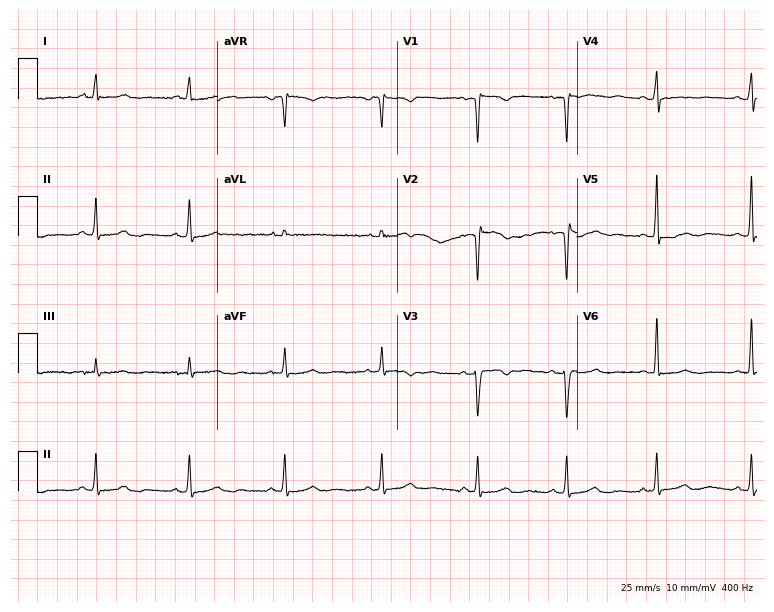
Electrocardiogram, a female, 52 years old. Of the six screened findings (first-degree AV block, right bundle branch block, left bundle branch block, sinus bradycardia, atrial fibrillation, sinus tachycardia), none is recorded. Findings outside these six are not listed.